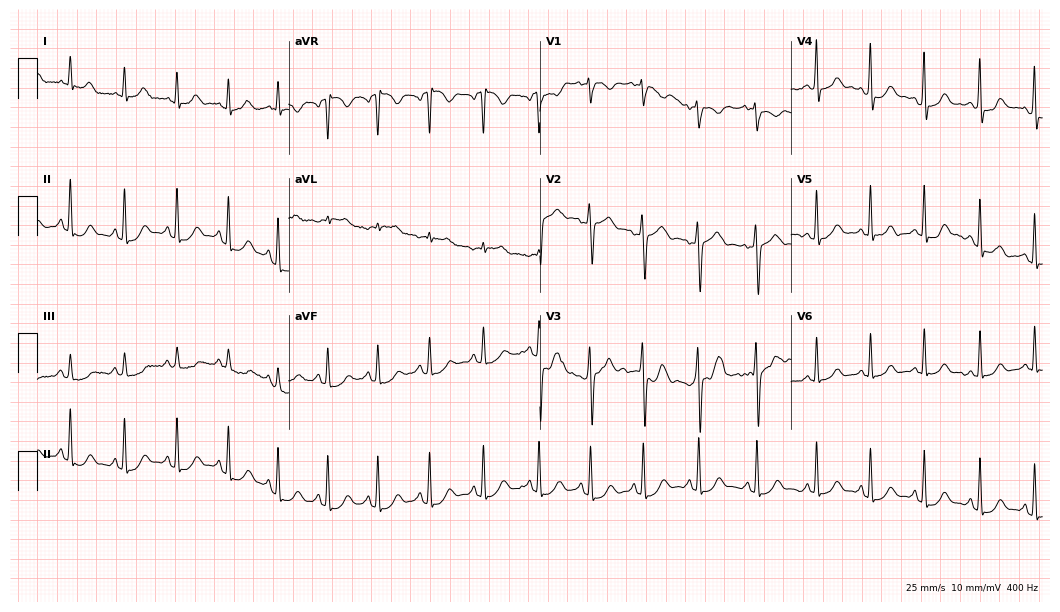
12-lead ECG from a female patient, 18 years old. Shows sinus tachycardia (a sinus rate of 100 beats per minute or more).